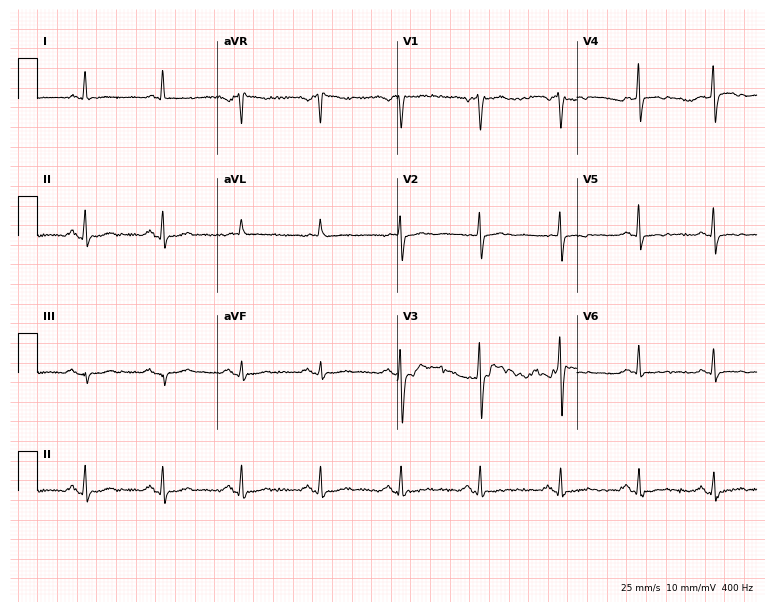
ECG — a male, 62 years old. Screened for six findings — first-degree AV block, right bundle branch block (RBBB), left bundle branch block (LBBB), sinus bradycardia, atrial fibrillation (AF), sinus tachycardia — none is recorded.